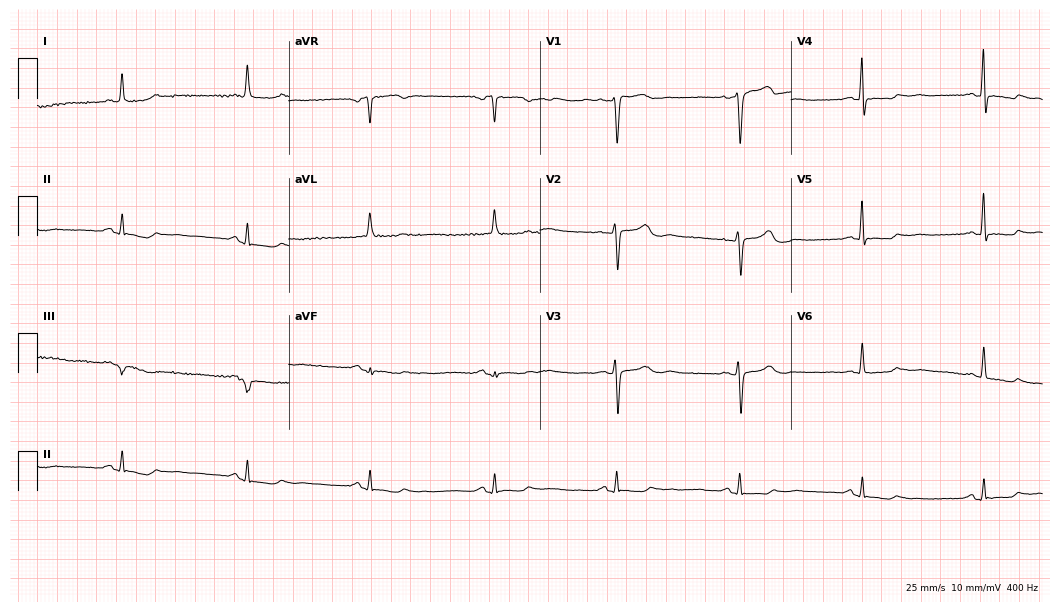
12-lead ECG (10.2-second recording at 400 Hz) from a female patient, 80 years old. Screened for six findings — first-degree AV block, right bundle branch block, left bundle branch block, sinus bradycardia, atrial fibrillation, sinus tachycardia — none is recorded.